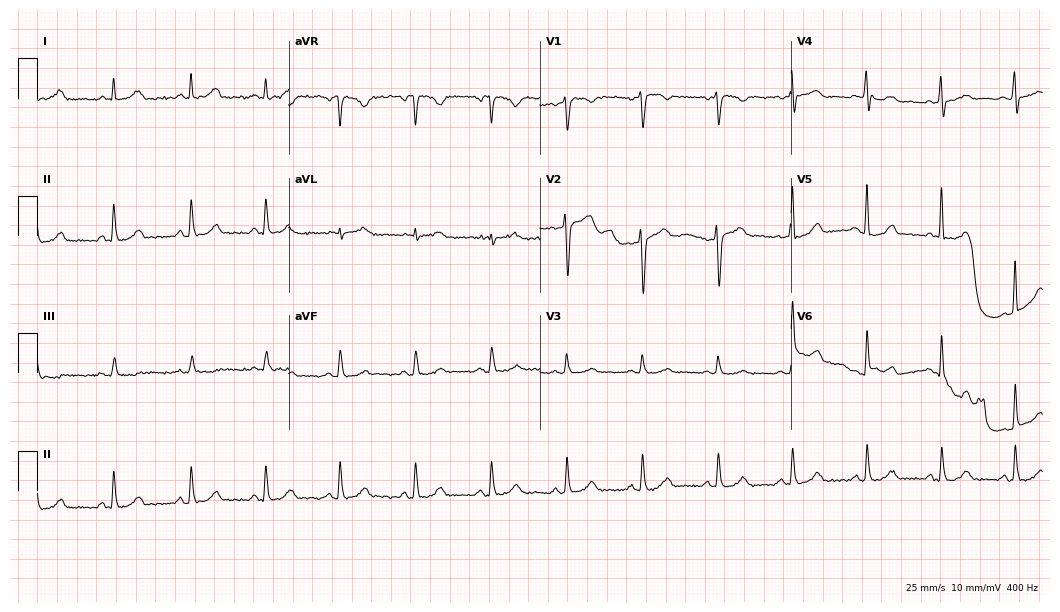
Resting 12-lead electrocardiogram (10.2-second recording at 400 Hz). Patient: a 41-year-old female. Read as a normal ECG.